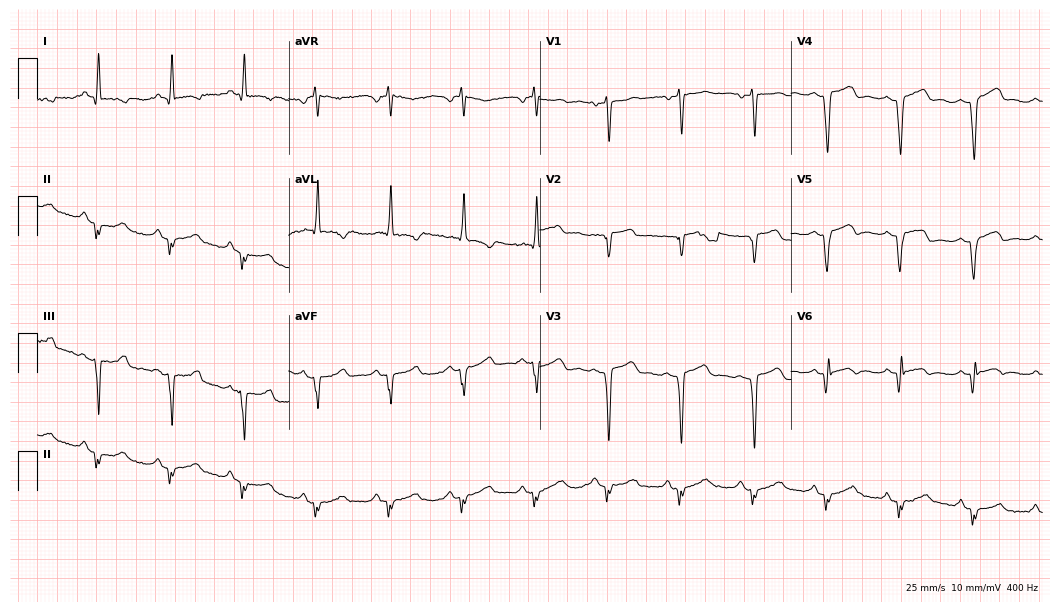
12-lead ECG (10.2-second recording at 400 Hz) from a woman, 79 years old. Screened for six findings — first-degree AV block, right bundle branch block, left bundle branch block, sinus bradycardia, atrial fibrillation, sinus tachycardia — none is recorded.